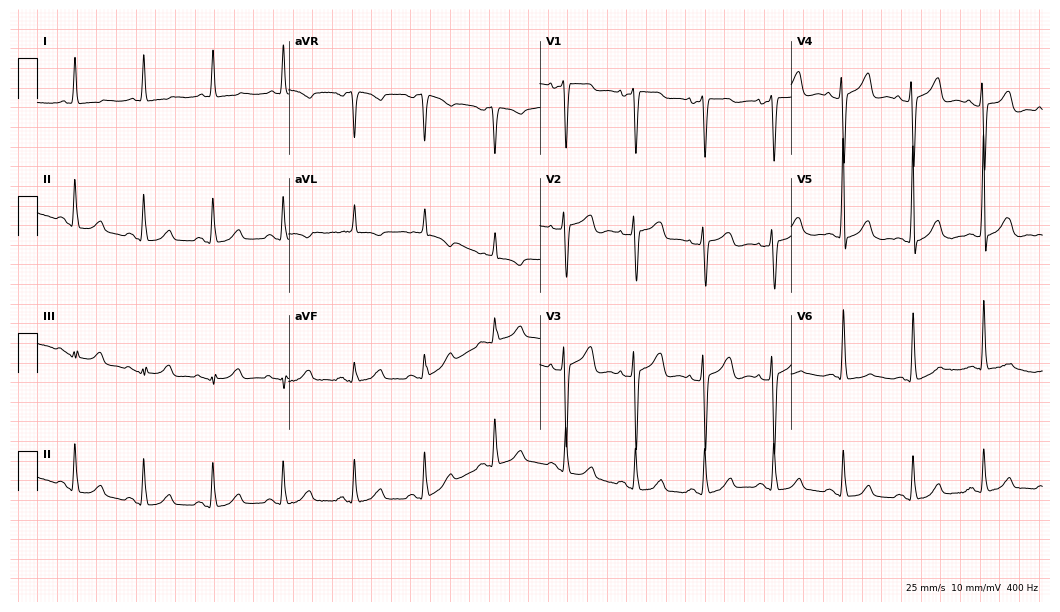
ECG (10.2-second recording at 400 Hz) — a female patient, 55 years old. Labelled as a normal ECG.